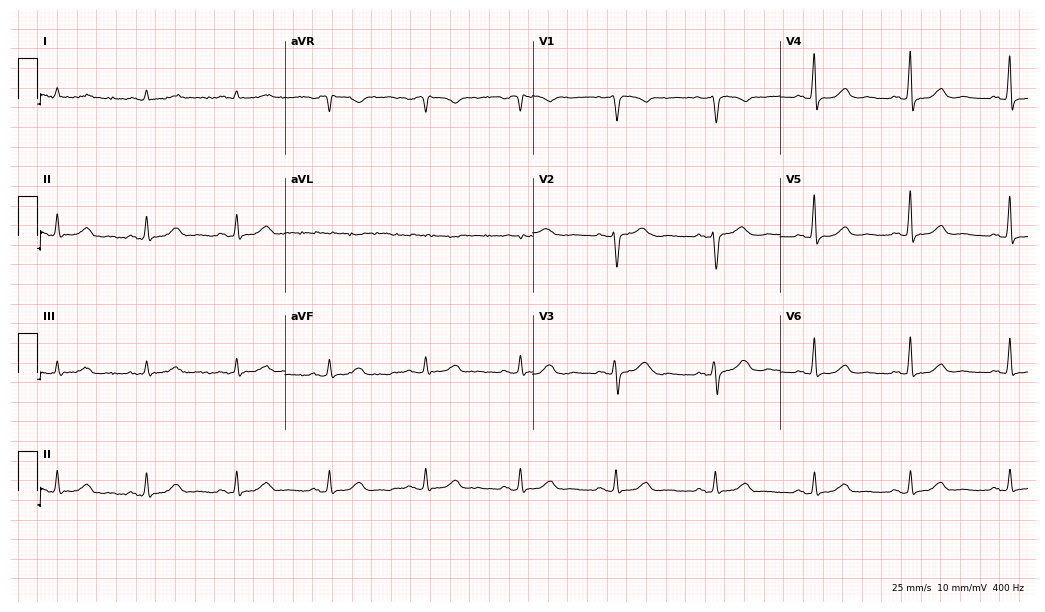
12-lead ECG from a 69-year-old woman (10.1-second recording at 400 Hz). Recorded interpretation: within normal limits.